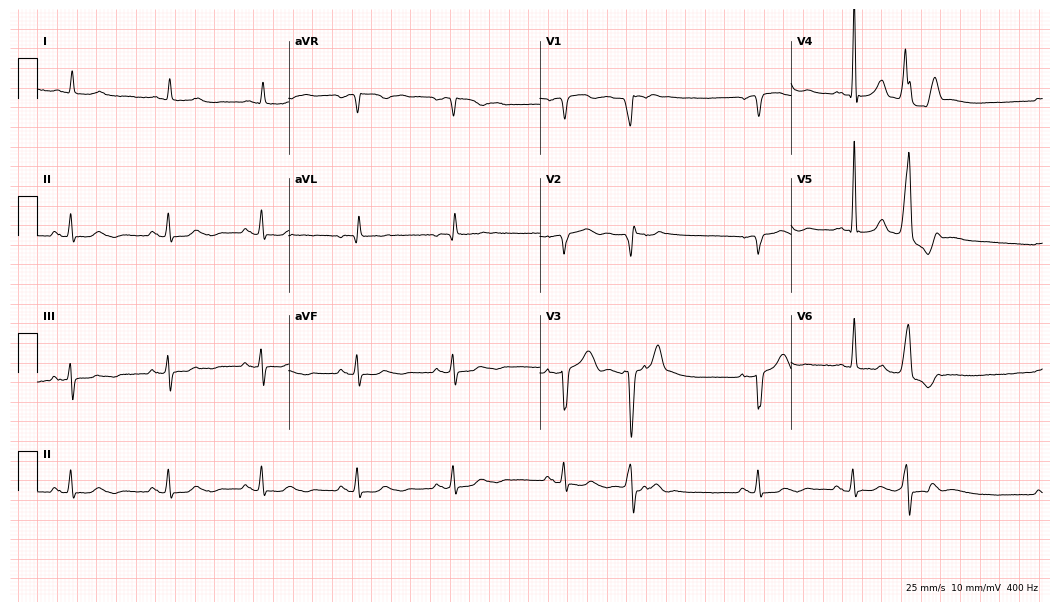
ECG (10.2-second recording at 400 Hz) — a male patient, 81 years old. Screened for six findings — first-degree AV block, right bundle branch block, left bundle branch block, sinus bradycardia, atrial fibrillation, sinus tachycardia — none is recorded.